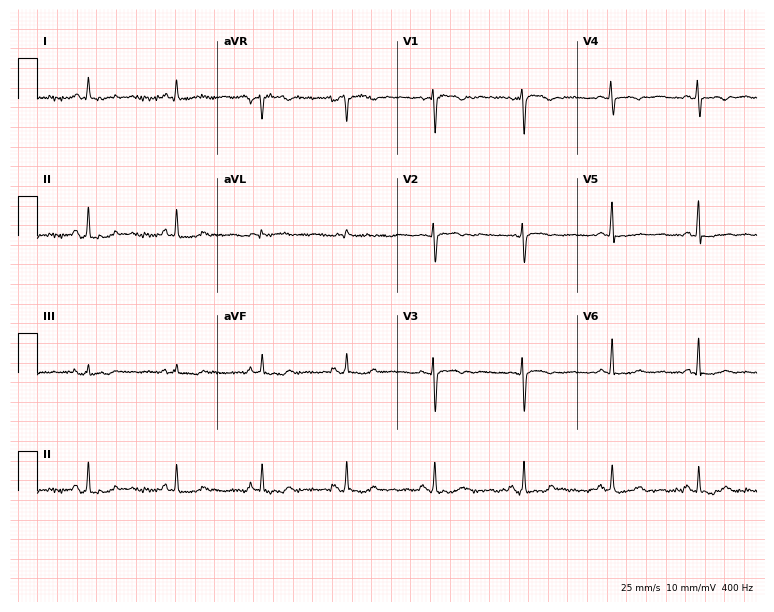
12-lead ECG from a 43-year-old female. No first-degree AV block, right bundle branch block, left bundle branch block, sinus bradycardia, atrial fibrillation or sinus tachycardia recorded for this tracing.